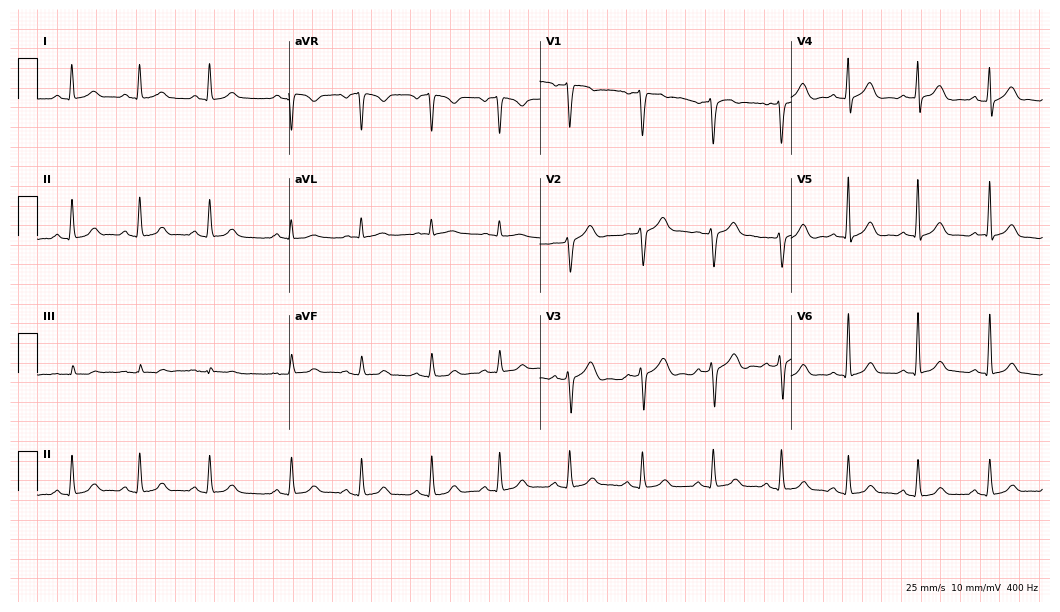
Standard 12-lead ECG recorded from a man, 56 years old. Read as a normal ECG.